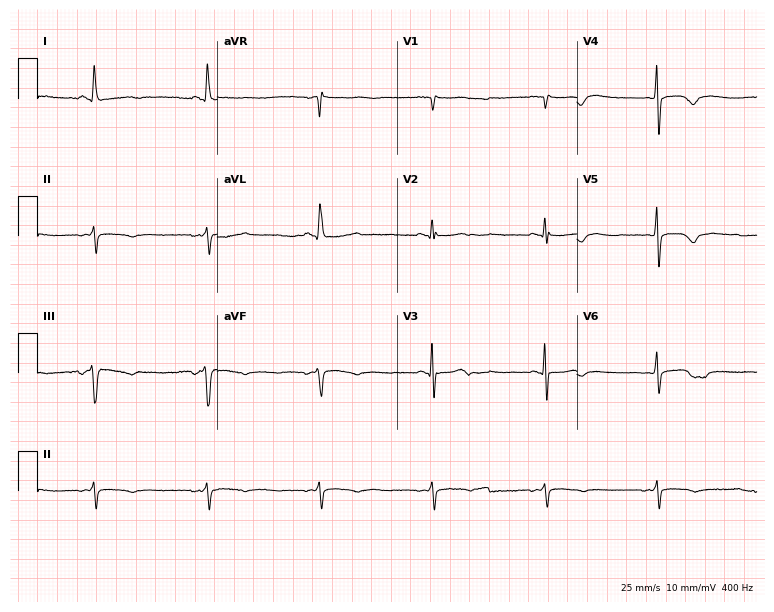
12-lead ECG from a 30-year-old female. No first-degree AV block, right bundle branch block (RBBB), left bundle branch block (LBBB), sinus bradycardia, atrial fibrillation (AF) or sinus tachycardia recorded for this tracing. Only these six findings were labelled.